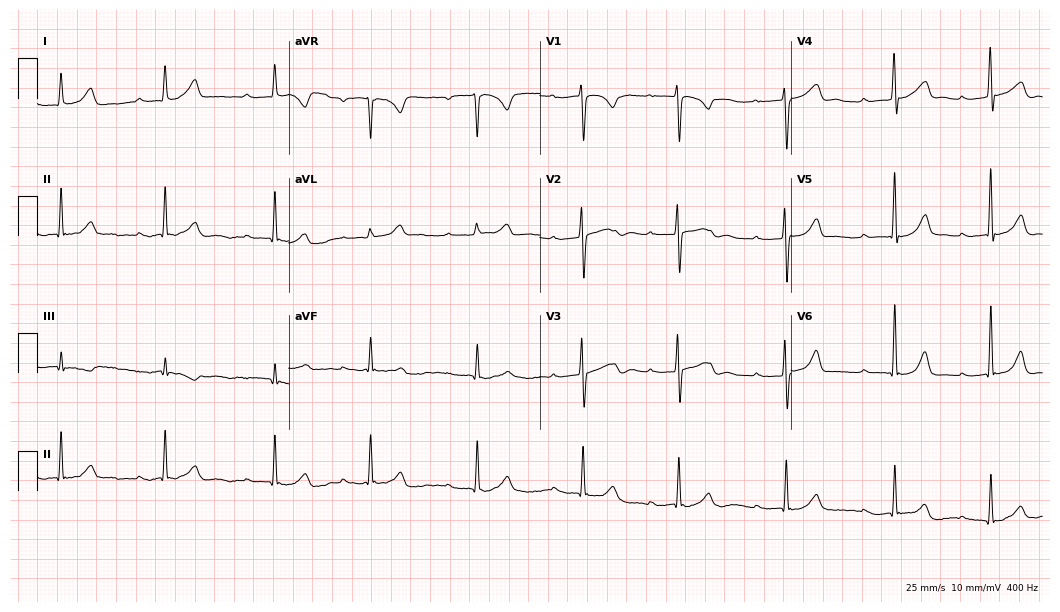
12-lead ECG from a woman, 37 years old. Recorded interpretation: within normal limits.